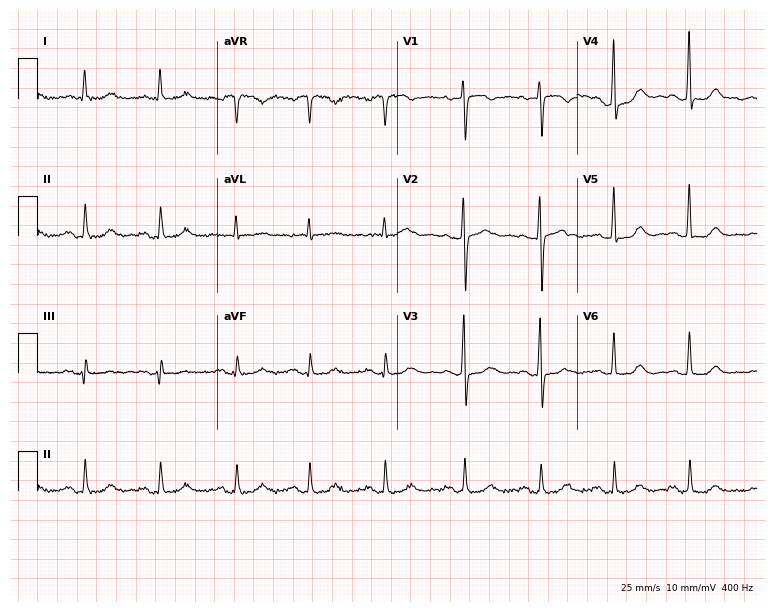
ECG — an 81-year-old female patient. Labelled as a normal ECG.